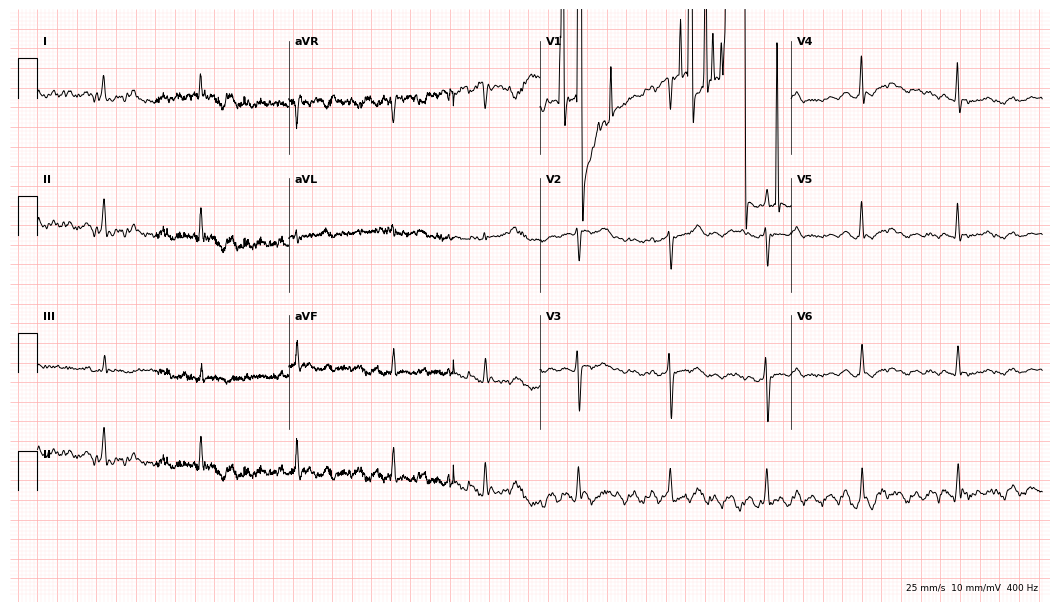
ECG (10.2-second recording at 400 Hz) — a female patient, 50 years old. Screened for six findings — first-degree AV block, right bundle branch block (RBBB), left bundle branch block (LBBB), sinus bradycardia, atrial fibrillation (AF), sinus tachycardia — none is recorded.